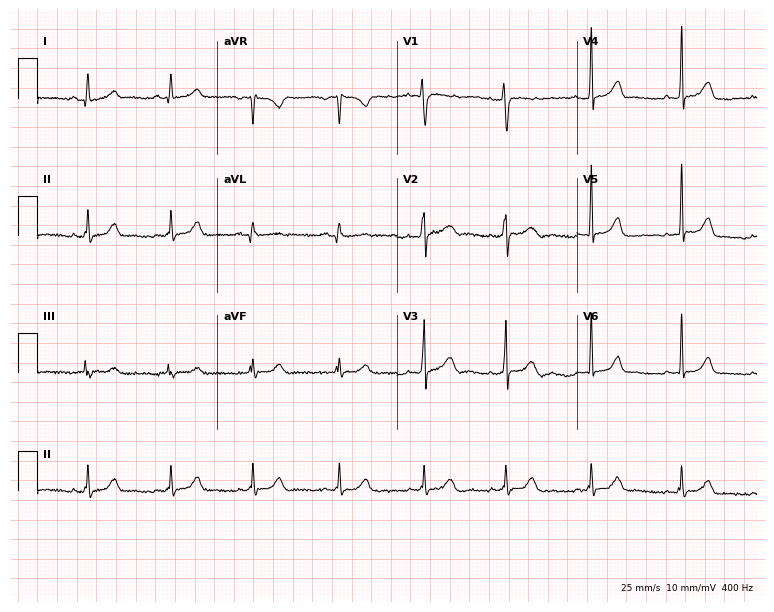
Resting 12-lead electrocardiogram. Patient: a 32-year-old female. Read as a normal ECG.